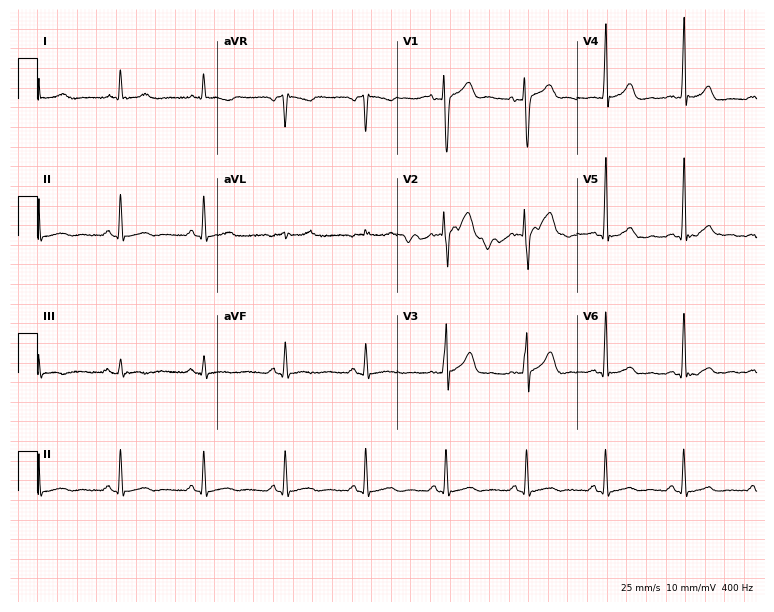
Standard 12-lead ECG recorded from a 30-year-old man. None of these six findings is recorded: first-degree AV block, right bundle branch block, left bundle branch block, sinus bradycardia, atrial fibrillation, sinus tachycardia. Only these six findings were labelled.